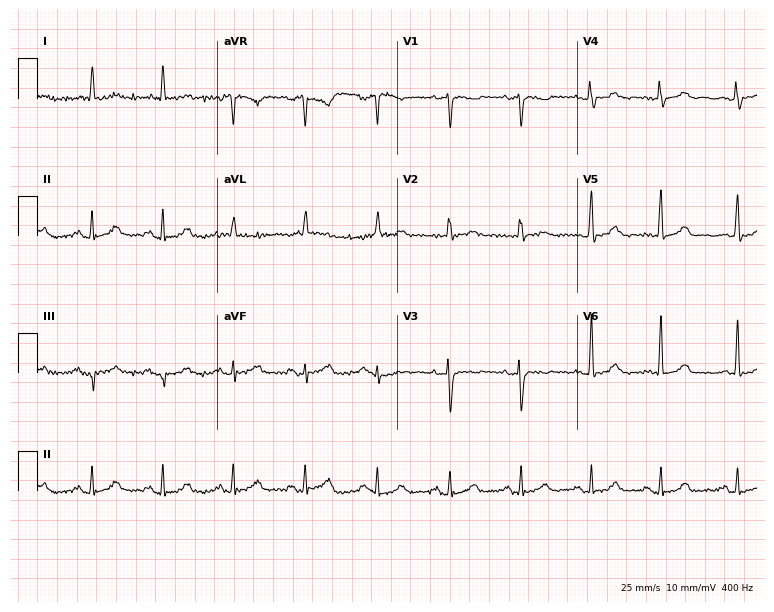
Standard 12-lead ECG recorded from a woman, 62 years old. Read as a normal ECG.